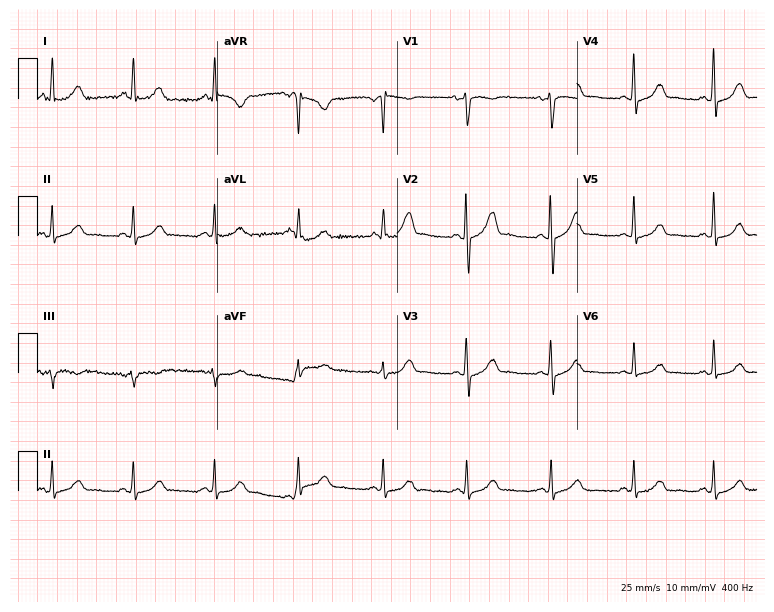
Resting 12-lead electrocardiogram. Patient: a 45-year-old female. Read as a normal ECG.